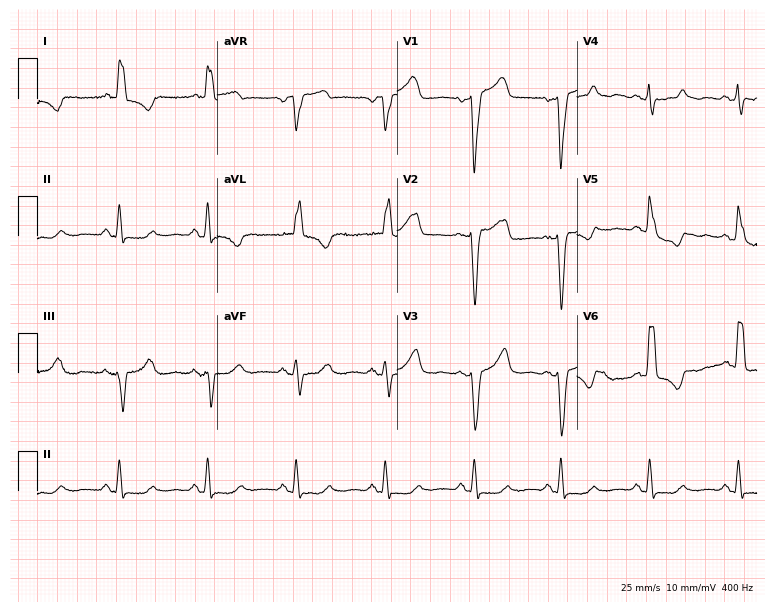
Standard 12-lead ECG recorded from a woman, 58 years old (7.3-second recording at 400 Hz). None of these six findings is recorded: first-degree AV block, right bundle branch block, left bundle branch block, sinus bradycardia, atrial fibrillation, sinus tachycardia.